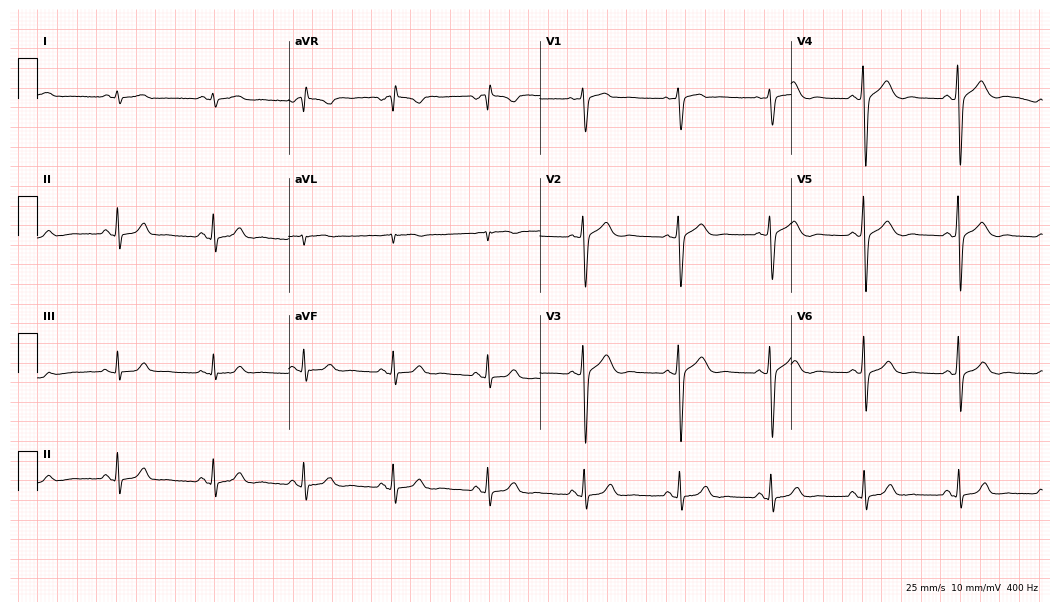
Resting 12-lead electrocardiogram (10.2-second recording at 400 Hz). Patient: a 38-year-old female. None of these six findings is recorded: first-degree AV block, right bundle branch block, left bundle branch block, sinus bradycardia, atrial fibrillation, sinus tachycardia.